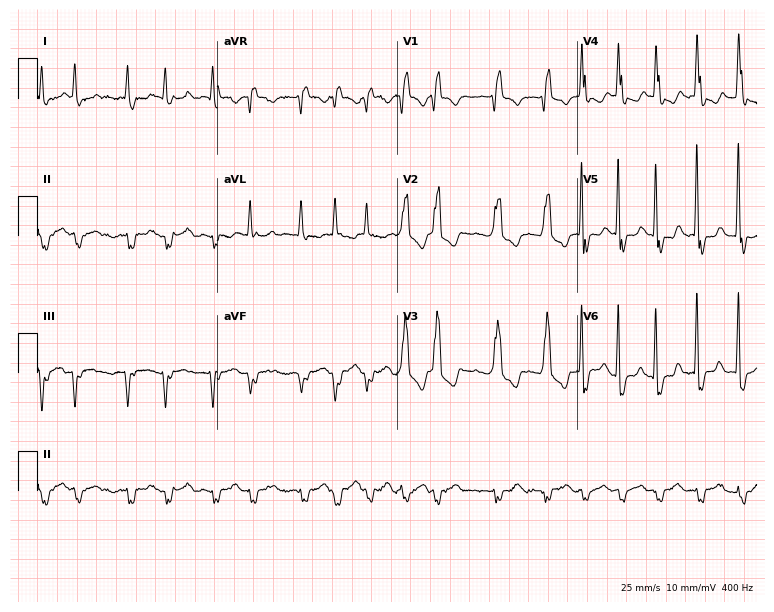
Electrocardiogram (7.3-second recording at 400 Hz), a 74-year-old male. Interpretation includes atrial fibrillation (AF).